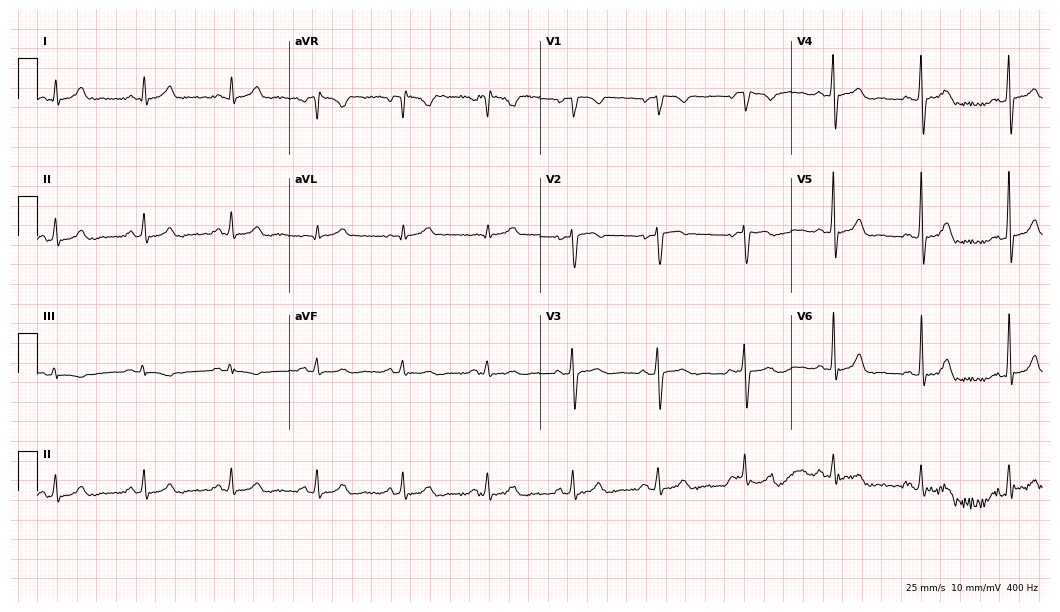
Electrocardiogram (10.2-second recording at 400 Hz), a male patient, 44 years old. Overall reading on record: normal ECG.